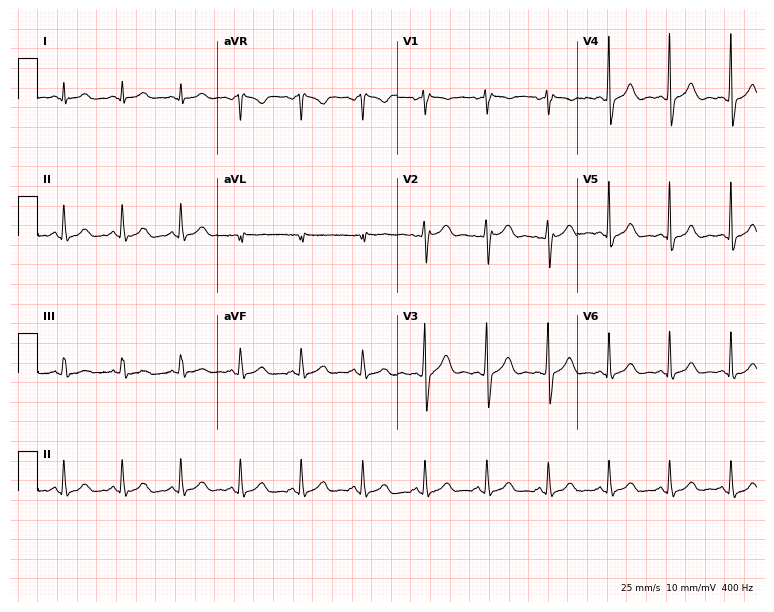
12-lead ECG from a female patient, 46 years old. Recorded interpretation: within normal limits.